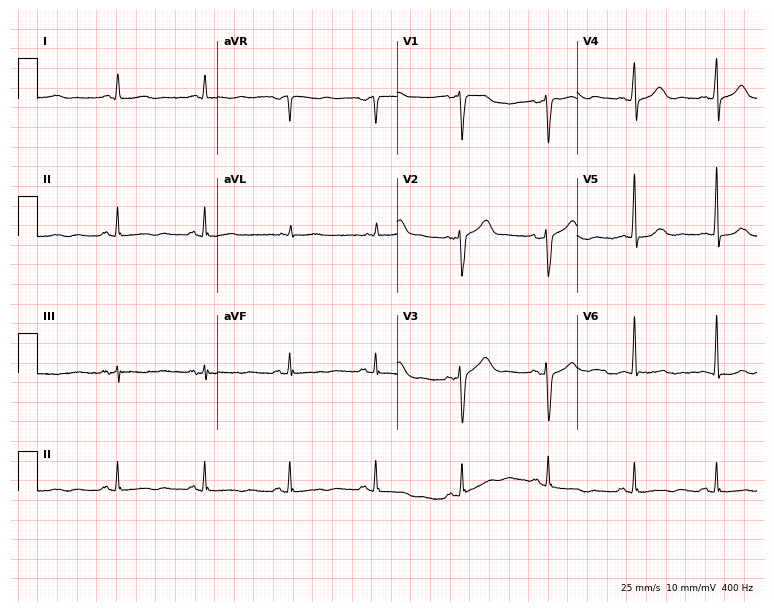
ECG — a woman, 55 years old. Screened for six findings — first-degree AV block, right bundle branch block, left bundle branch block, sinus bradycardia, atrial fibrillation, sinus tachycardia — none is recorded.